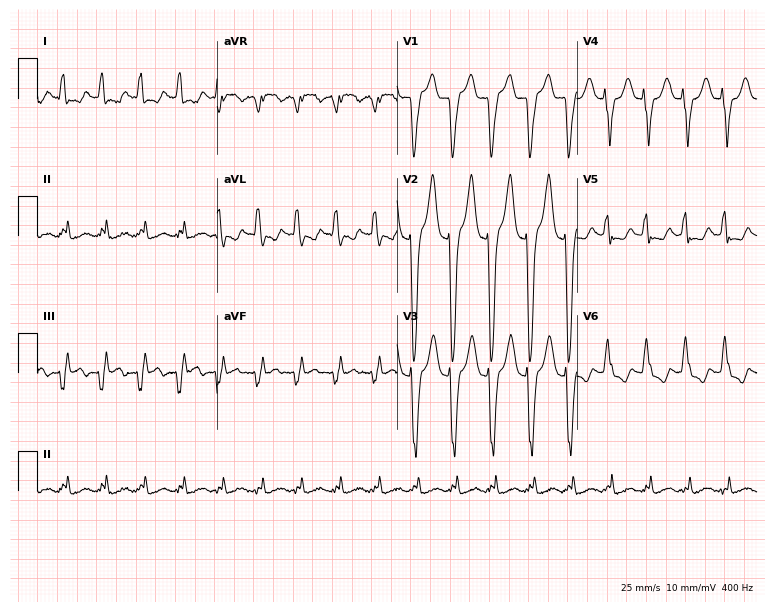
12-lead ECG from a female, 58 years old. Findings include left bundle branch block, sinus tachycardia (a sinus rate of 100 beats per minute or more).